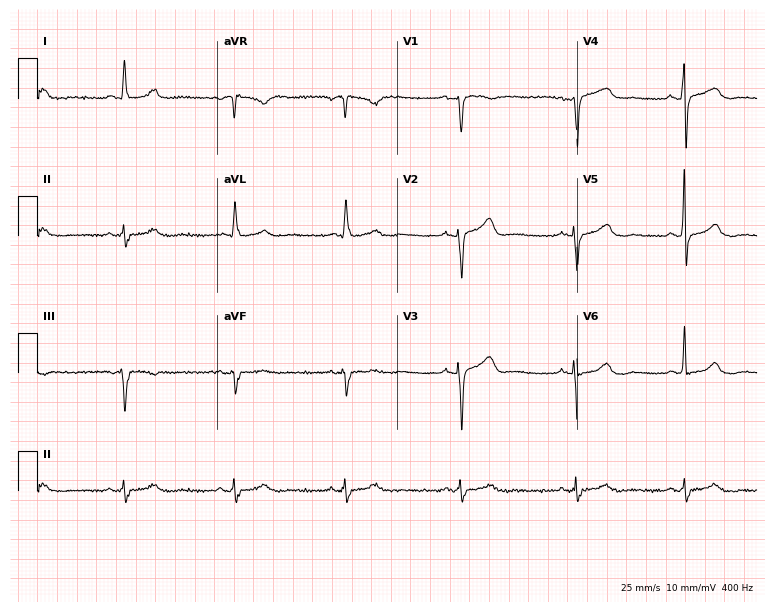
Electrocardiogram (7.3-second recording at 400 Hz), a female, 55 years old. Of the six screened findings (first-degree AV block, right bundle branch block (RBBB), left bundle branch block (LBBB), sinus bradycardia, atrial fibrillation (AF), sinus tachycardia), none is recorded. Only these six findings were labelled.